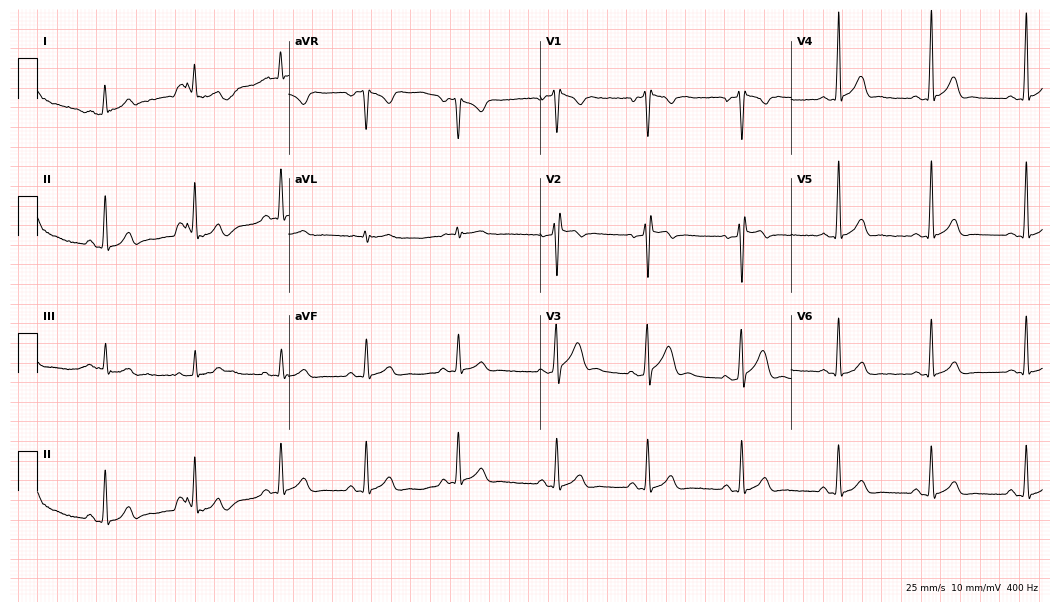
ECG (10.2-second recording at 400 Hz) — a 27-year-old male. Screened for six findings — first-degree AV block, right bundle branch block (RBBB), left bundle branch block (LBBB), sinus bradycardia, atrial fibrillation (AF), sinus tachycardia — none is recorded.